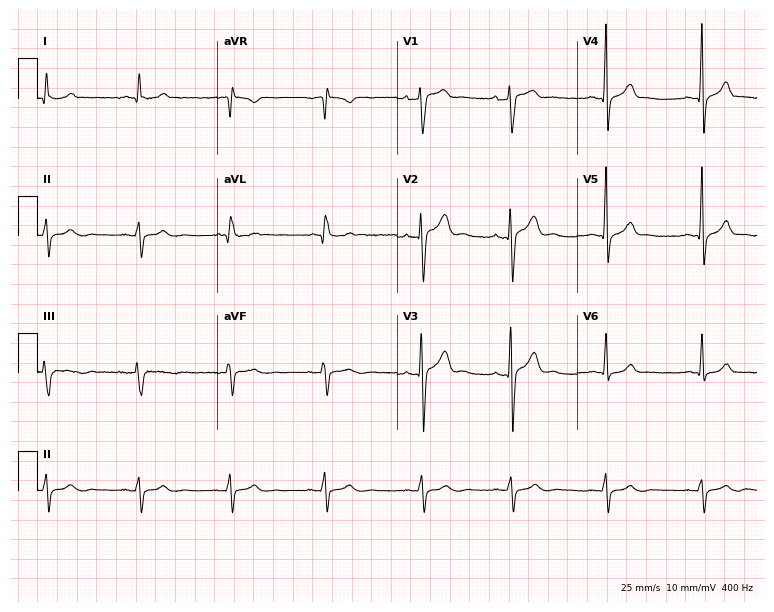
12-lead ECG (7.3-second recording at 400 Hz) from a male patient, 22 years old. Labelled as a normal ECG.